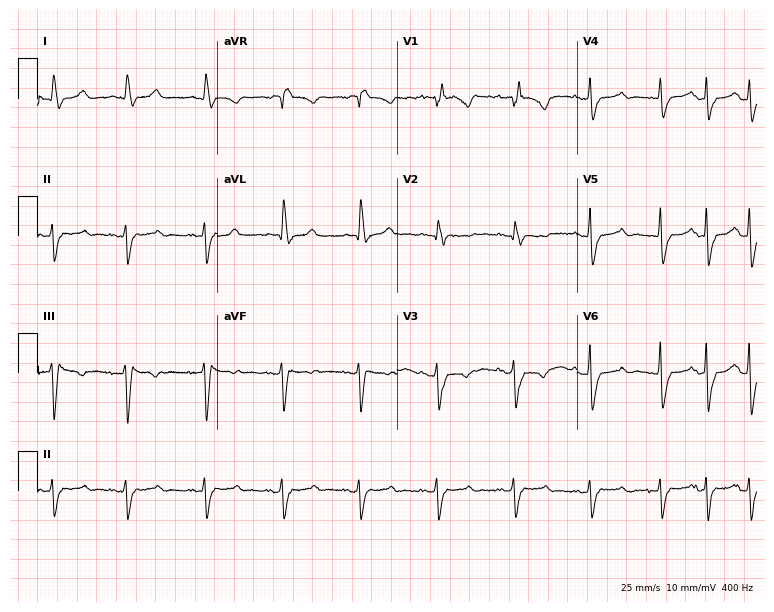
Standard 12-lead ECG recorded from a female patient, 59 years old (7.3-second recording at 400 Hz). The tracing shows right bundle branch block (RBBB).